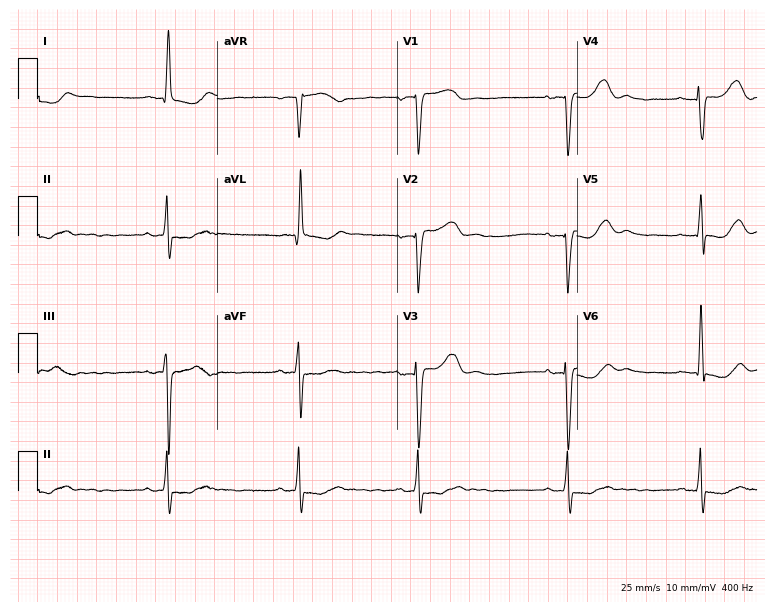
Standard 12-lead ECG recorded from an 81-year-old female patient (7.3-second recording at 400 Hz). The tracing shows sinus bradycardia (a sinus rate of 50 beats per minute or less).